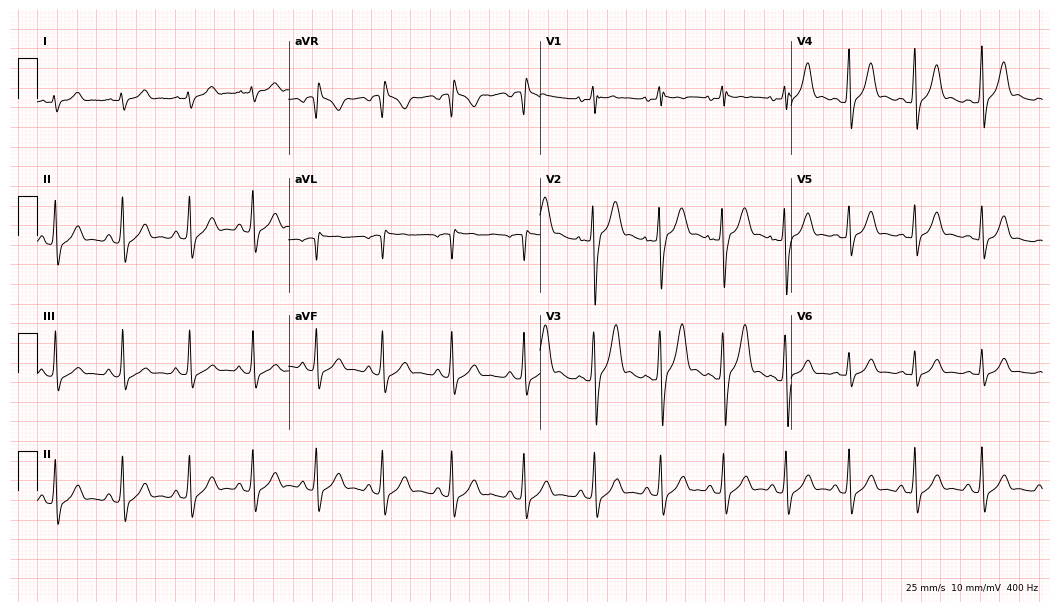
12-lead ECG from a male patient, 19 years old (10.2-second recording at 400 Hz). No first-degree AV block, right bundle branch block, left bundle branch block, sinus bradycardia, atrial fibrillation or sinus tachycardia recorded for this tracing. Findings outside these six are not listed.